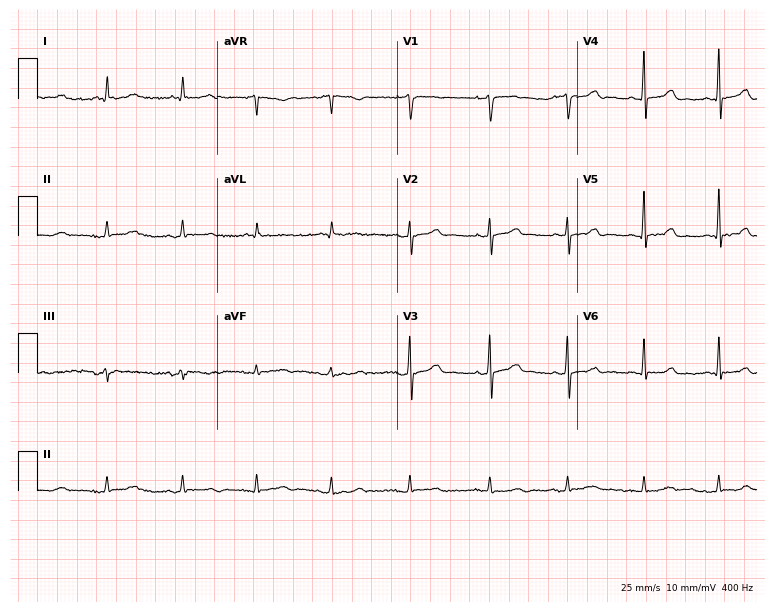
Resting 12-lead electrocardiogram. Patient: a 44-year-old male. Read as a normal ECG.